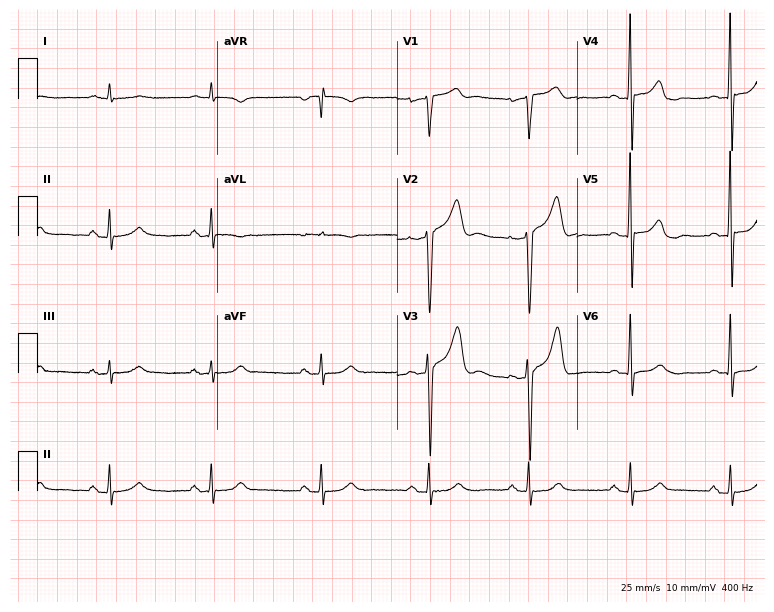
Resting 12-lead electrocardiogram. Patient: a male, 71 years old. None of these six findings is recorded: first-degree AV block, right bundle branch block, left bundle branch block, sinus bradycardia, atrial fibrillation, sinus tachycardia. Other findings, if any, are not listed.